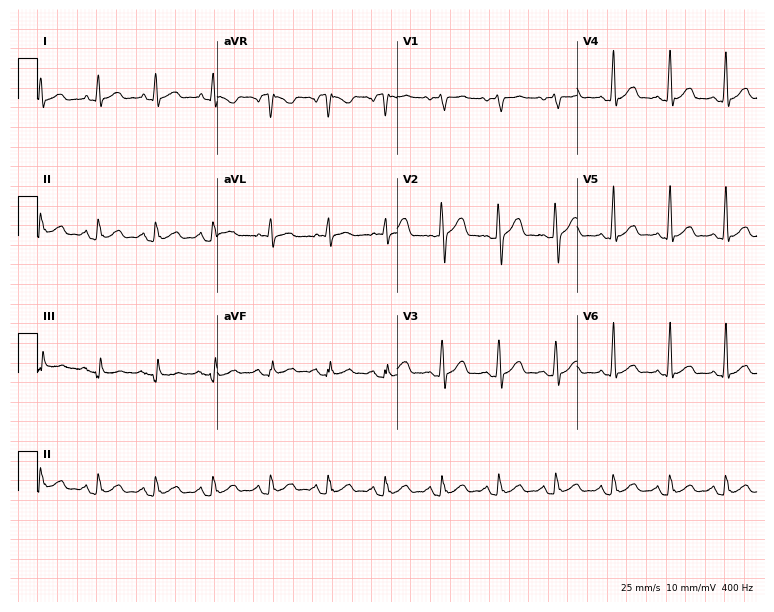
12-lead ECG from a man, 41 years old. Shows sinus tachycardia (a sinus rate of 100 beats per minute or more).